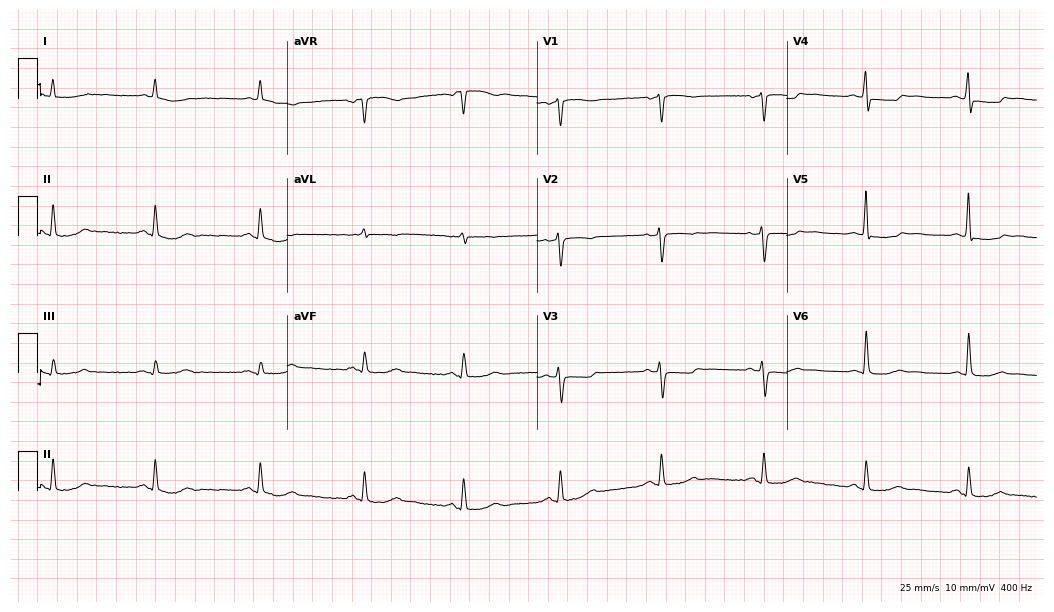
ECG (10.2-second recording at 400 Hz) — a 67-year-old female. Screened for six findings — first-degree AV block, right bundle branch block, left bundle branch block, sinus bradycardia, atrial fibrillation, sinus tachycardia — none is recorded. Findings outside these six are not listed.